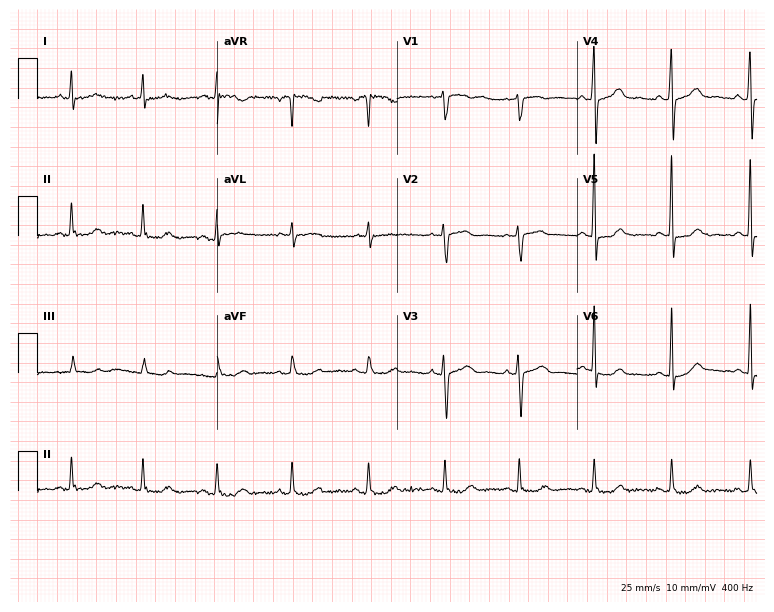
ECG (7.3-second recording at 400 Hz) — a 52-year-old female patient. Labelled as a normal ECG.